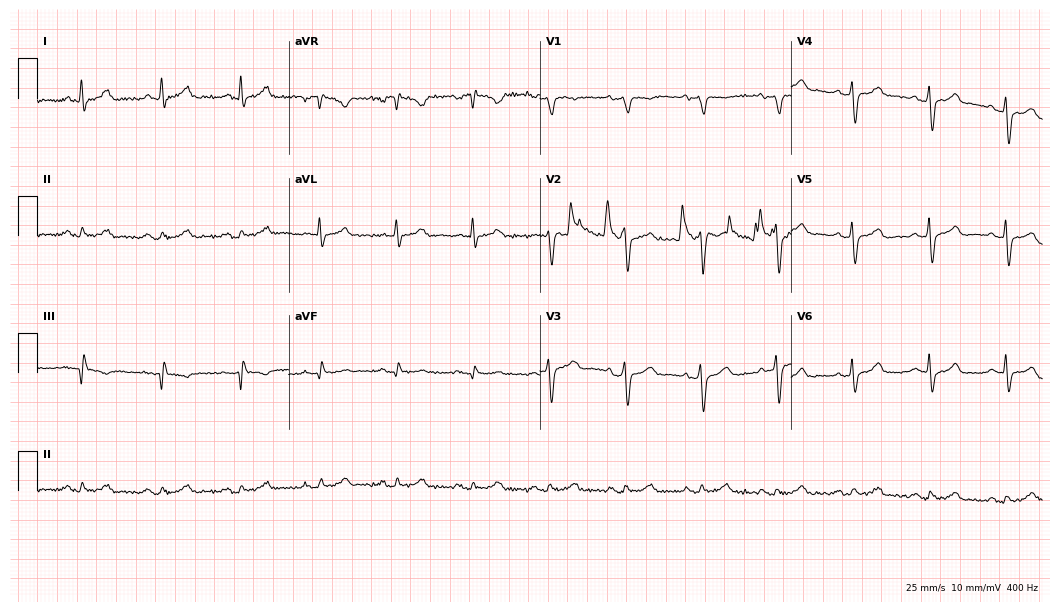
12-lead ECG from a 62-year-old male patient. Screened for six findings — first-degree AV block, right bundle branch block, left bundle branch block, sinus bradycardia, atrial fibrillation, sinus tachycardia — none is recorded.